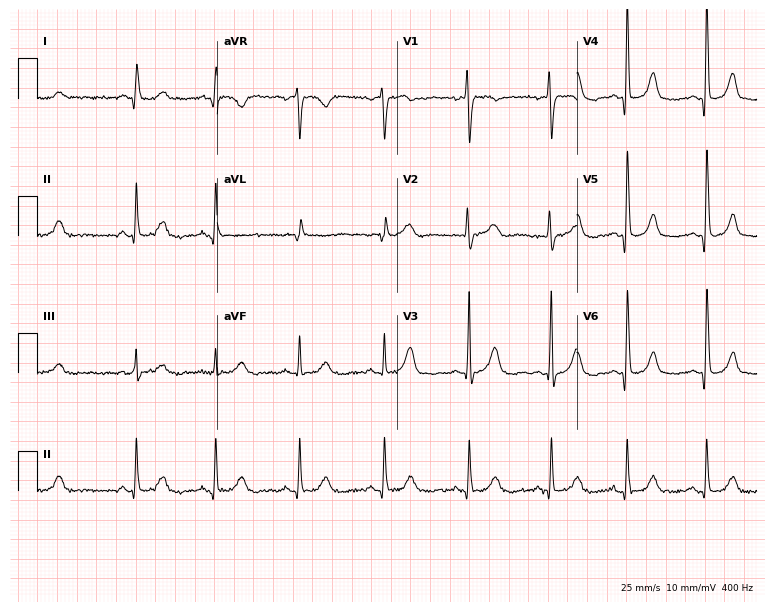
Standard 12-lead ECG recorded from a 78-year-old female (7.3-second recording at 400 Hz). None of these six findings is recorded: first-degree AV block, right bundle branch block, left bundle branch block, sinus bradycardia, atrial fibrillation, sinus tachycardia.